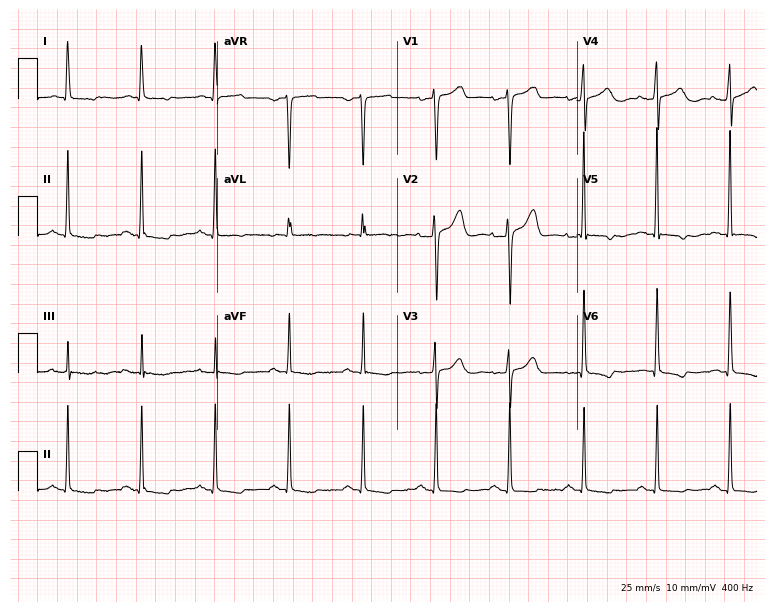
Resting 12-lead electrocardiogram (7.3-second recording at 400 Hz). Patient: a woman, 71 years old. None of these six findings is recorded: first-degree AV block, right bundle branch block, left bundle branch block, sinus bradycardia, atrial fibrillation, sinus tachycardia. Findings outside these six are not listed.